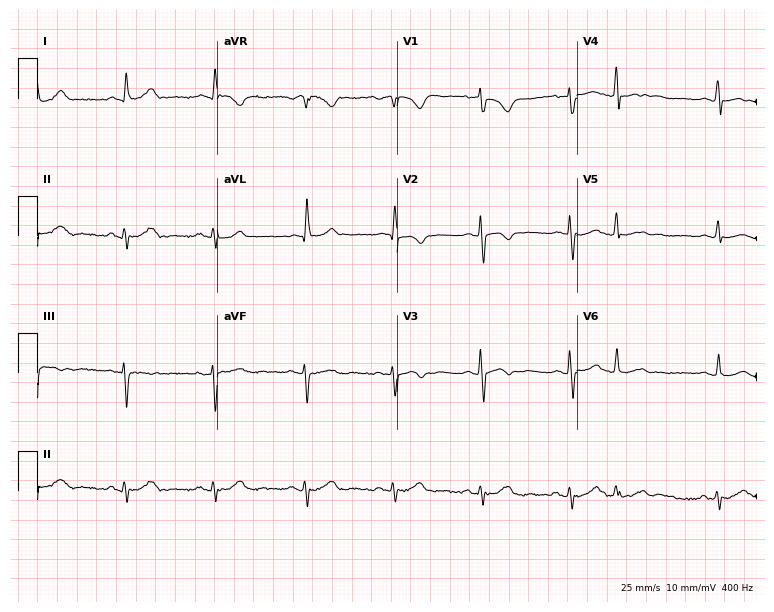
12-lead ECG from a female patient, 59 years old. No first-degree AV block, right bundle branch block (RBBB), left bundle branch block (LBBB), sinus bradycardia, atrial fibrillation (AF) or sinus tachycardia recorded for this tracing. Findings outside these six are not listed.